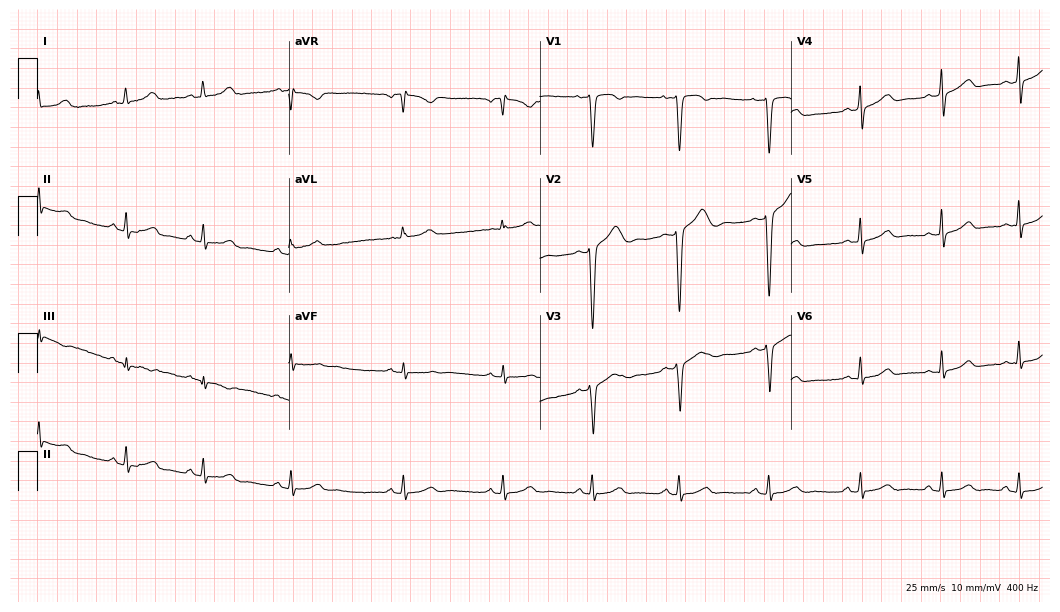
12-lead ECG from a female patient, 23 years old. Screened for six findings — first-degree AV block, right bundle branch block, left bundle branch block, sinus bradycardia, atrial fibrillation, sinus tachycardia — none is recorded.